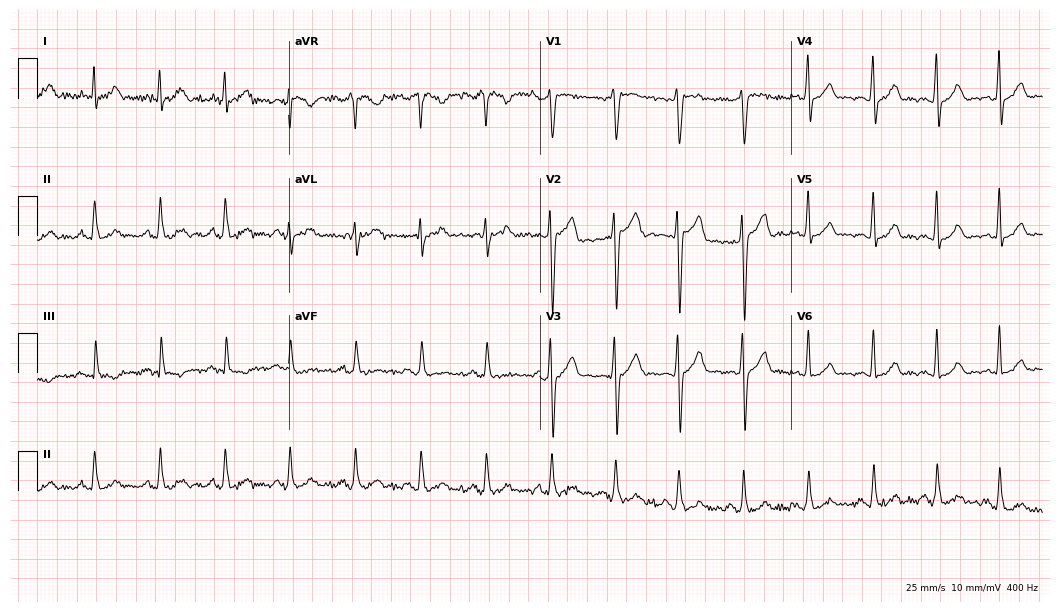
Standard 12-lead ECG recorded from a 34-year-old male patient. Read as a normal ECG.